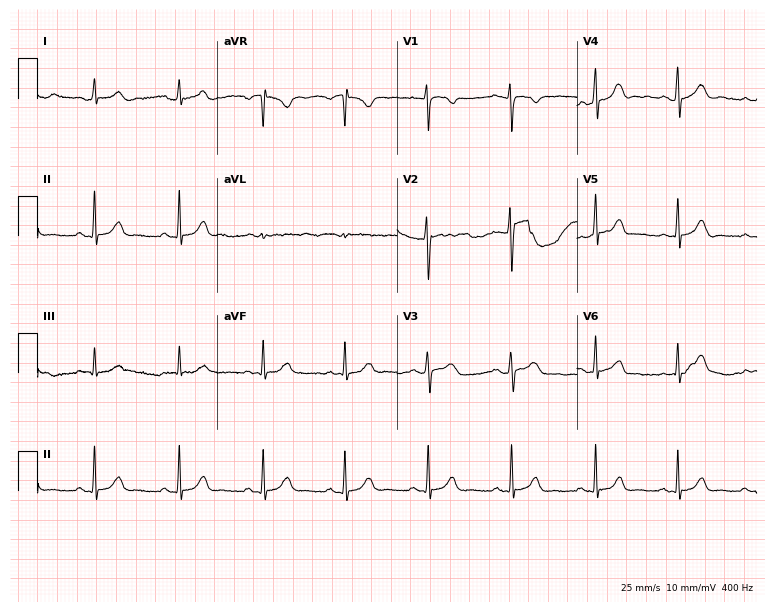
Electrocardiogram, a female patient, 18 years old. Overall reading on record: normal ECG.